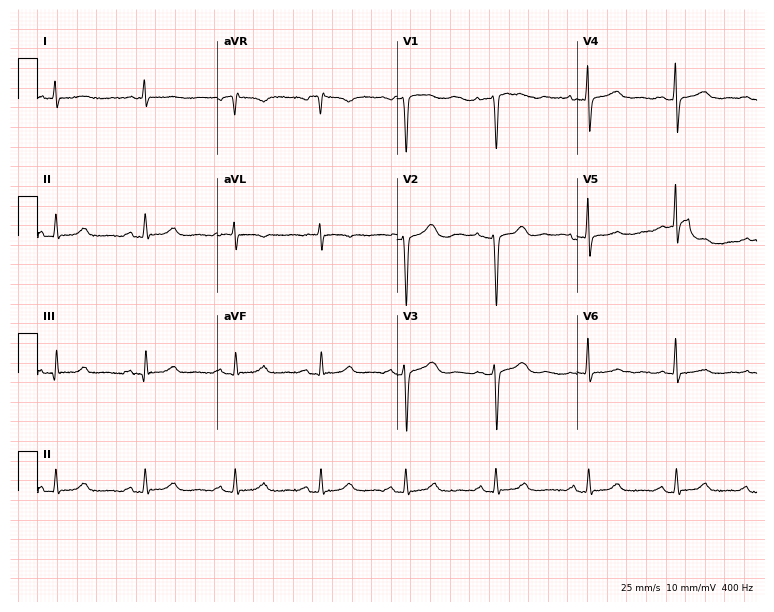
Standard 12-lead ECG recorded from a 51-year-old female patient. Read as a normal ECG.